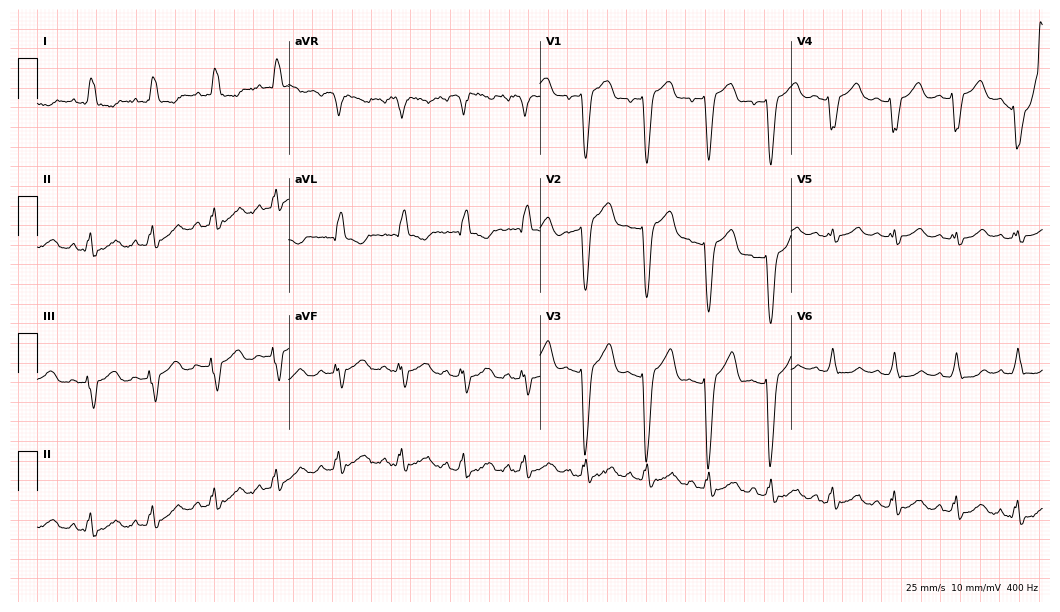
ECG (10.2-second recording at 400 Hz) — an 82-year-old female. Findings include left bundle branch block (LBBB).